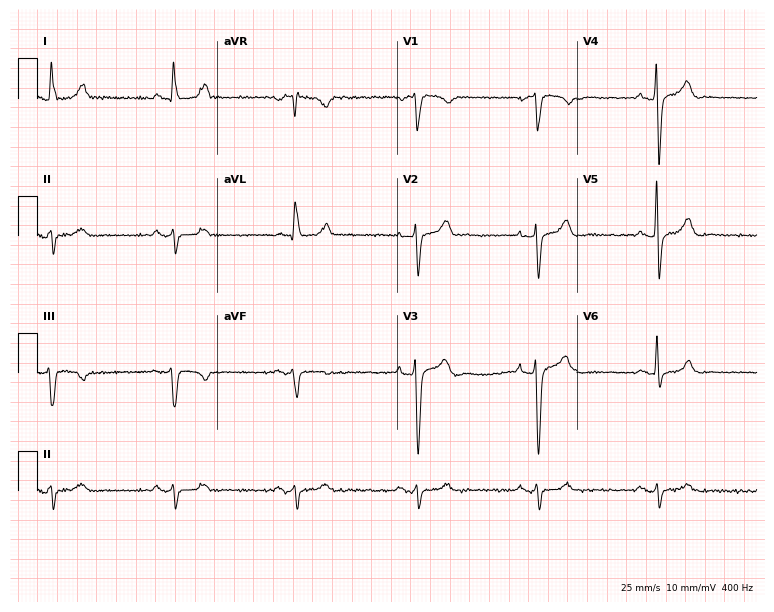
Standard 12-lead ECG recorded from a 63-year-old male. The tracing shows sinus bradycardia (a sinus rate of 50 beats per minute or less).